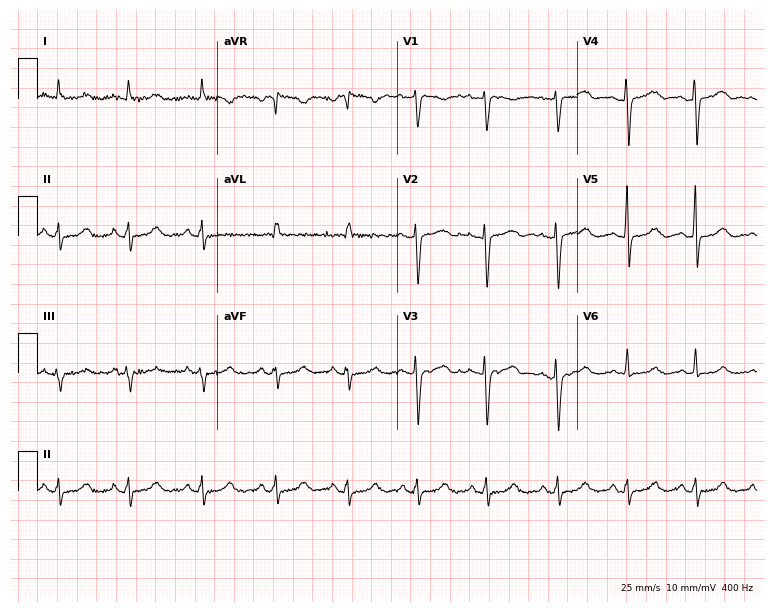
12-lead ECG (7.3-second recording at 400 Hz) from a 43-year-old woman. Screened for six findings — first-degree AV block, right bundle branch block, left bundle branch block, sinus bradycardia, atrial fibrillation, sinus tachycardia — none is recorded.